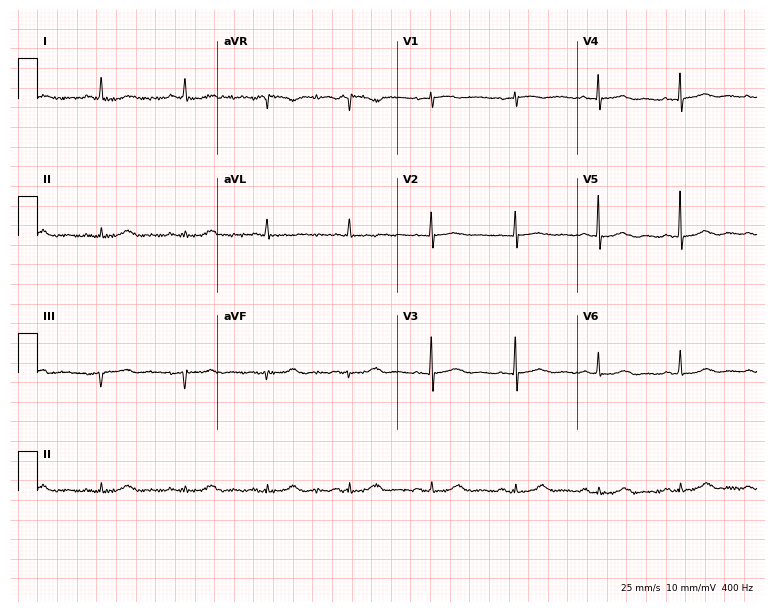
Electrocardiogram, an 82-year-old woman. Of the six screened findings (first-degree AV block, right bundle branch block (RBBB), left bundle branch block (LBBB), sinus bradycardia, atrial fibrillation (AF), sinus tachycardia), none is recorded. Only these six findings were labelled.